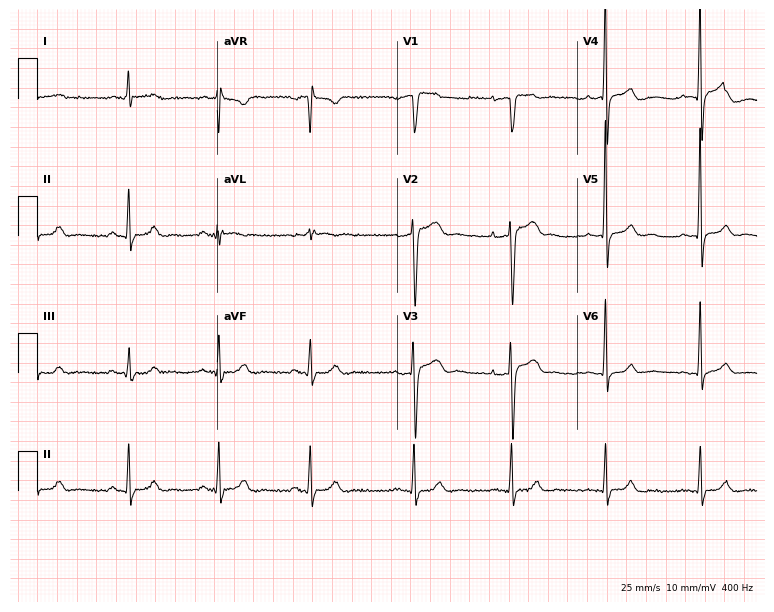
12-lead ECG from a 68-year-old male patient (7.3-second recording at 400 Hz). Recorded interpretation: within normal limits.